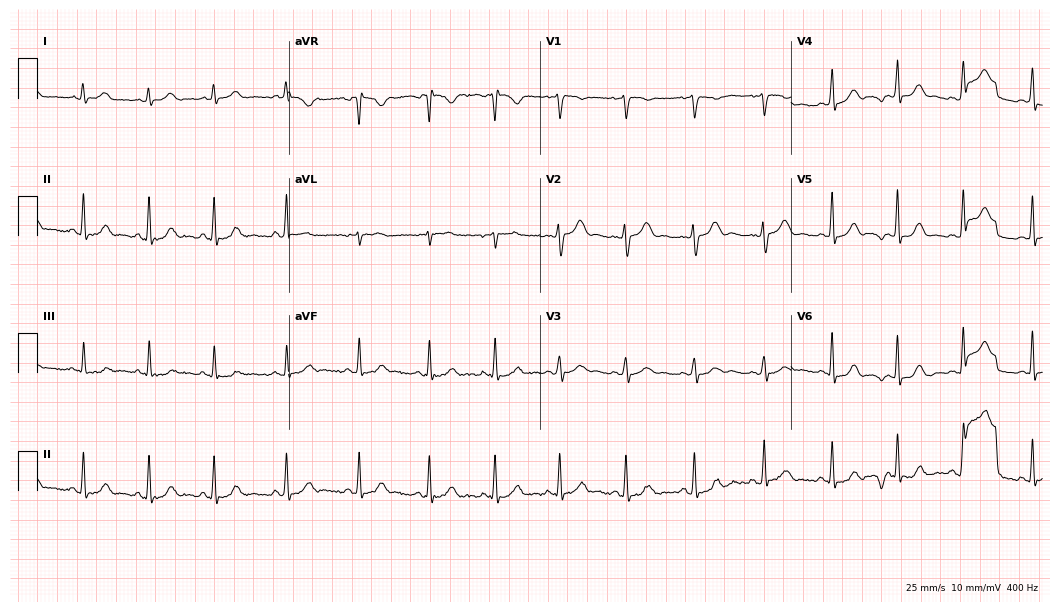
Resting 12-lead electrocardiogram (10.2-second recording at 400 Hz). Patient: a 25-year-old female. Read as a normal ECG.